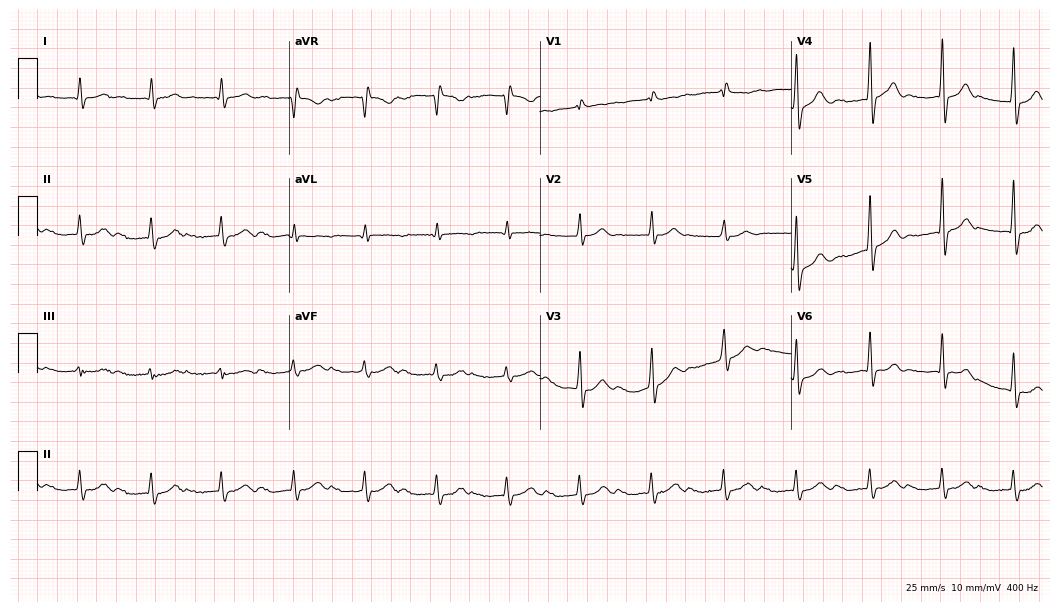
ECG (10.2-second recording at 400 Hz) — a male patient, 85 years old. Findings include first-degree AV block.